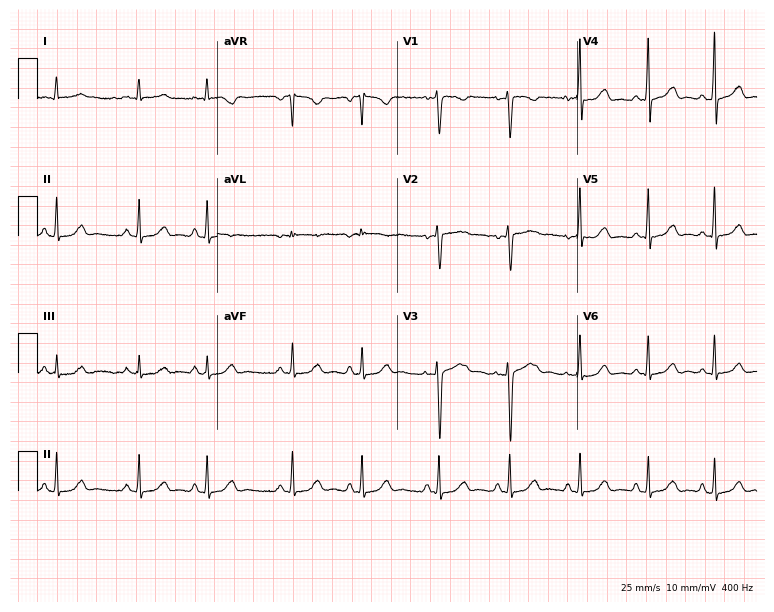
ECG (7.3-second recording at 400 Hz) — a woman, 24 years old. Labelled as a normal ECG.